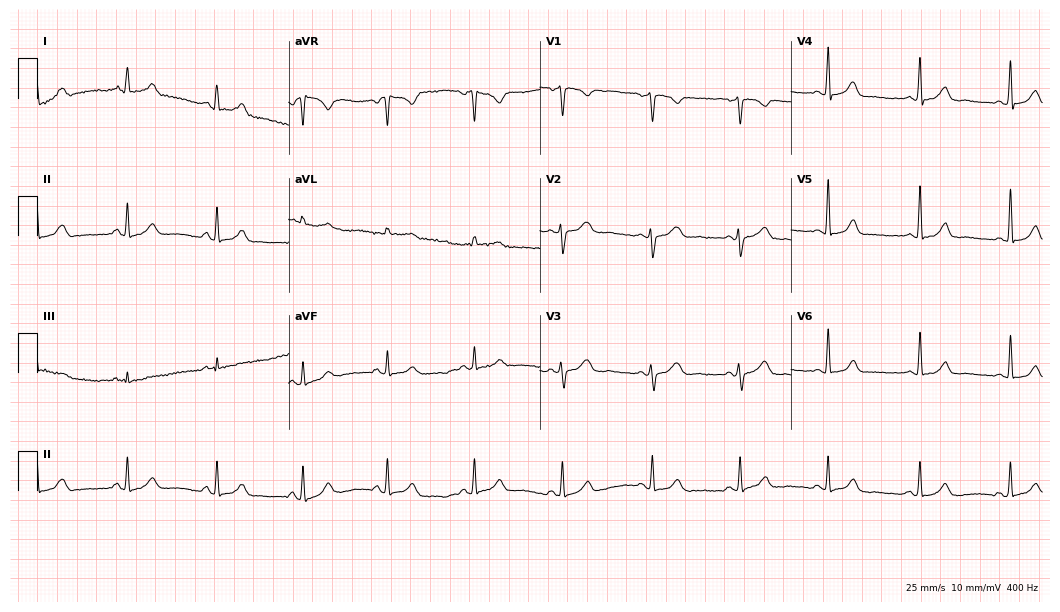
12-lead ECG from a 25-year-old female patient (10.2-second recording at 400 Hz). No first-degree AV block, right bundle branch block (RBBB), left bundle branch block (LBBB), sinus bradycardia, atrial fibrillation (AF) or sinus tachycardia recorded for this tracing.